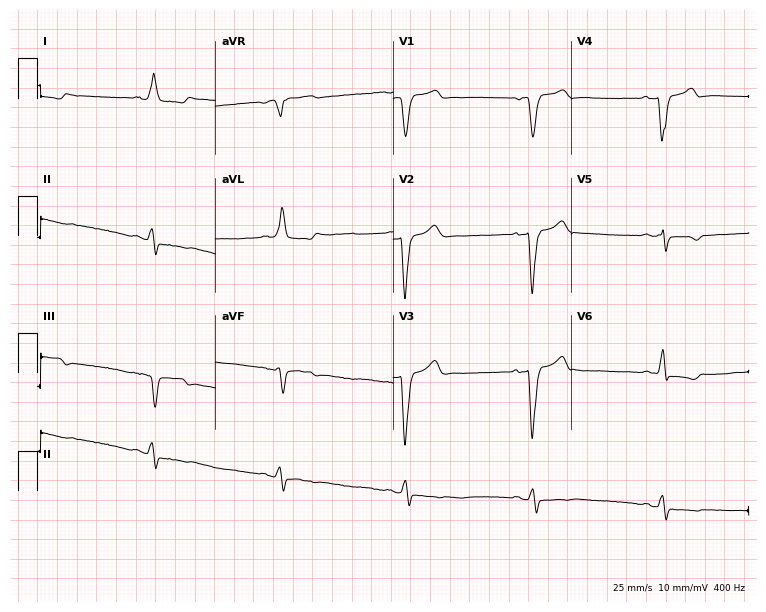
12-lead ECG from a 73-year-old man. Shows left bundle branch block, sinus bradycardia (a sinus rate of 50 beats per minute or less).